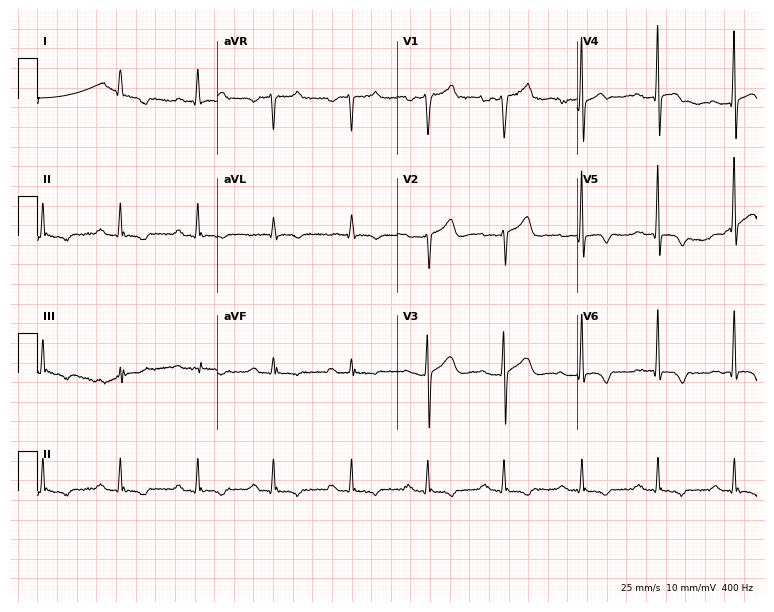
Electrocardiogram (7.3-second recording at 400 Hz), a 61-year-old man. Of the six screened findings (first-degree AV block, right bundle branch block (RBBB), left bundle branch block (LBBB), sinus bradycardia, atrial fibrillation (AF), sinus tachycardia), none is recorded.